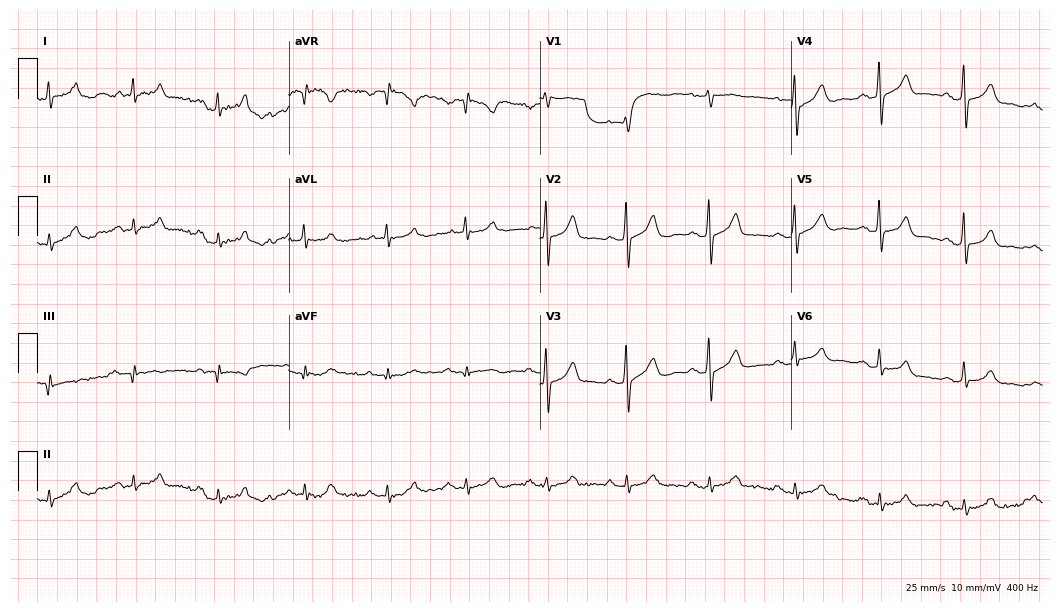
12-lead ECG (10.2-second recording at 400 Hz) from a male patient, 71 years old. Screened for six findings — first-degree AV block, right bundle branch block, left bundle branch block, sinus bradycardia, atrial fibrillation, sinus tachycardia — none is recorded.